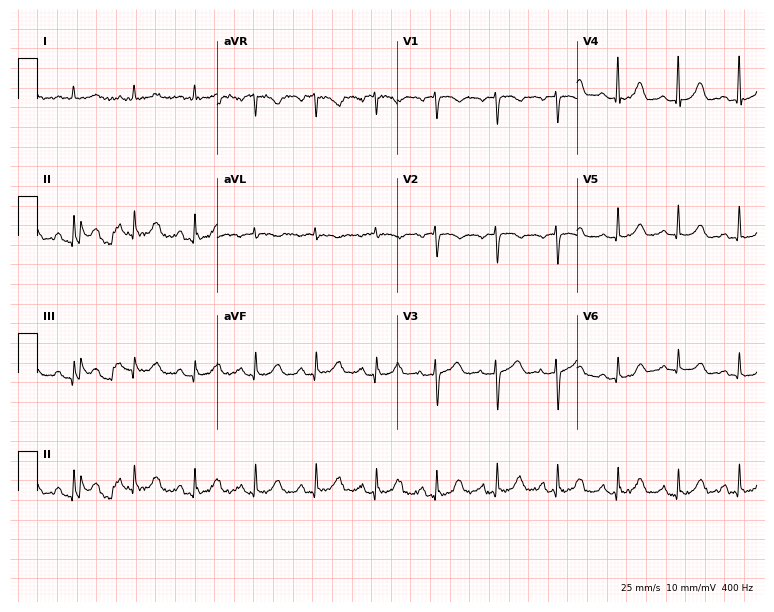
Resting 12-lead electrocardiogram (7.3-second recording at 400 Hz). Patient: an 83-year-old female. None of these six findings is recorded: first-degree AV block, right bundle branch block (RBBB), left bundle branch block (LBBB), sinus bradycardia, atrial fibrillation (AF), sinus tachycardia. Only these six findings were labelled.